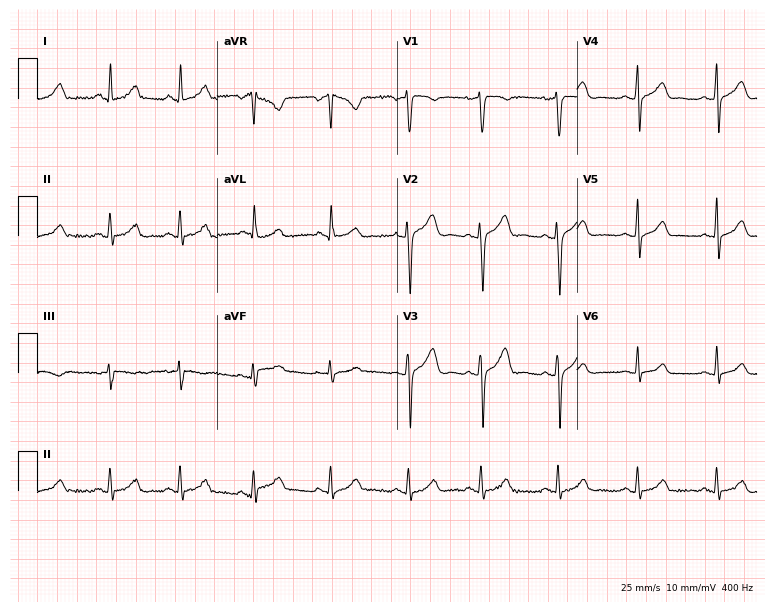
12-lead ECG from a 32-year-old female patient. Recorded interpretation: within normal limits.